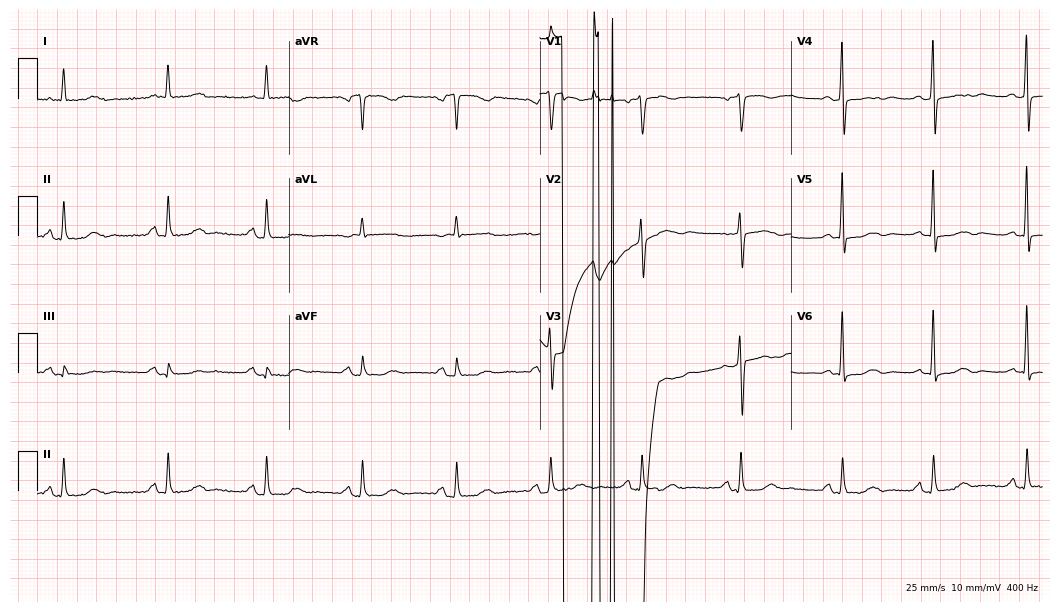
12-lead ECG (10.2-second recording at 400 Hz) from a 71-year-old female. Labelled as a normal ECG.